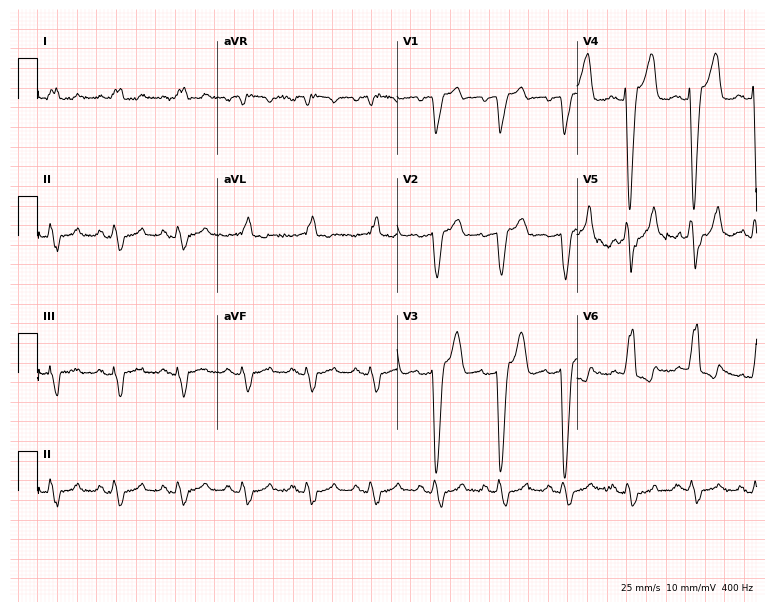
Standard 12-lead ECG recorded from an 84-year-old man (7.3-second recording at 400 Hz). The tracing shows left bundle branch block (LBBB).